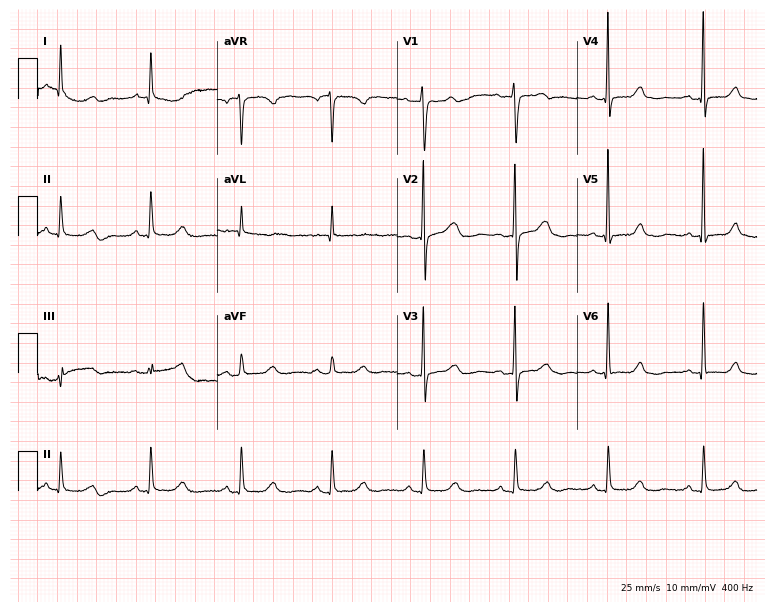
12-lead ECG from a 68-year-old woman (7.3-second recording at 400 Hz). Recorded interpretation: within normal limits.